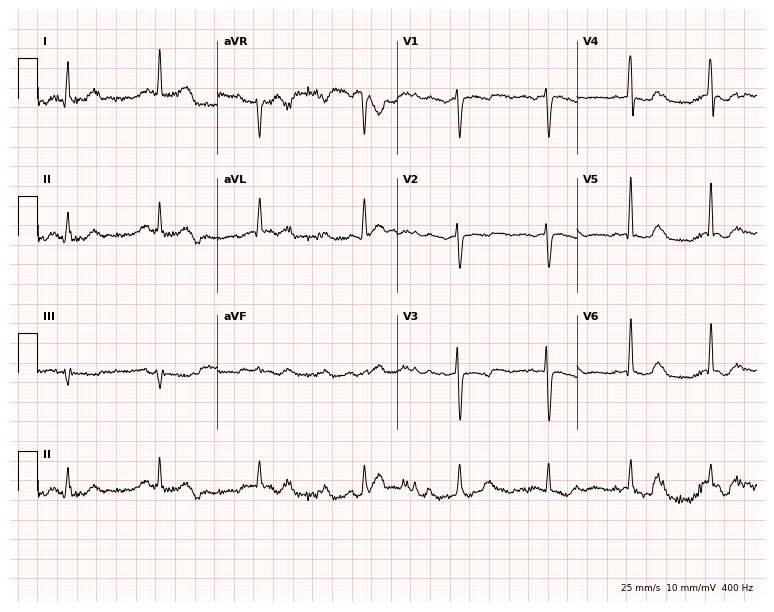
Resting 12-lead electrocardiogram (7.3-second recording at 400 Hz). Patient: a 45-year-old female. None of these six findings is recorded: first-degree AV block, right bundle branch block, left bundle branch block, sinus bradycardia, atrial fibrillation, sinus tachycardia. Other findings, if any, are not listed.